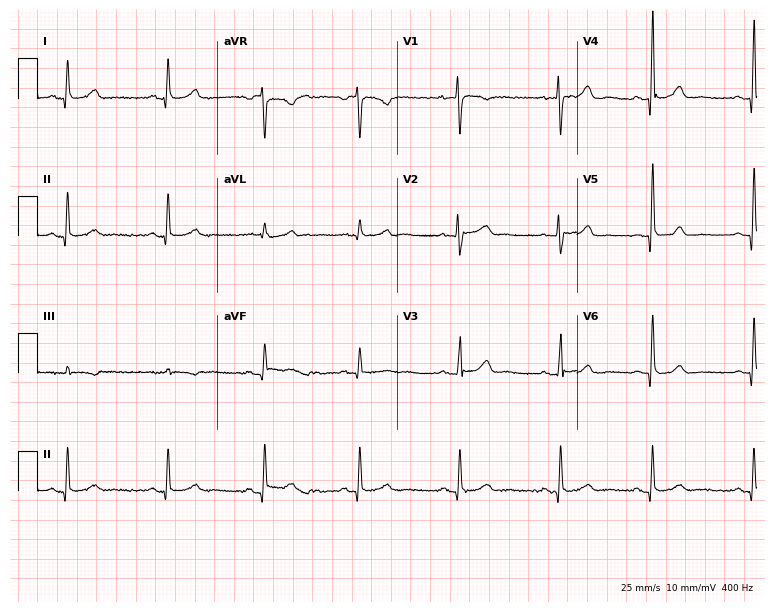
Electrocardiogram (7.3-second recording at 400 Hz), a woman, 58 years old. Of the six screened findings (first-degree AV block, right bundle branch block, left bundle branch block, sinus bradycardia, atrial fibrillation, sinus tachycardia), none is recorded. Only these six findings were labelled.